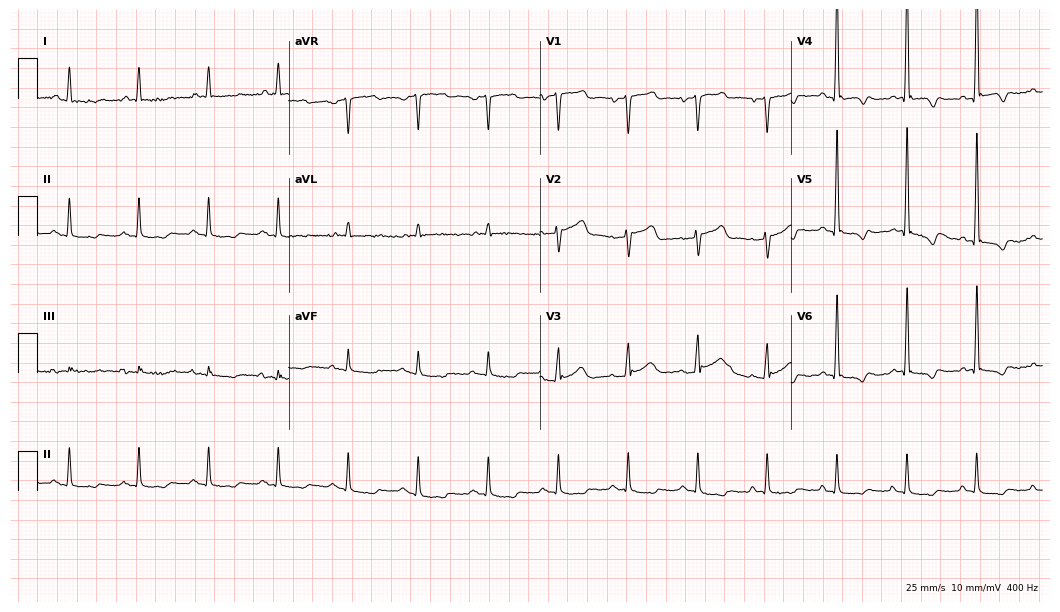
12-lead ECG from a male patient, 73 years old. Screened for six findings — first-degree AV block, right bundle branch block, left bundle branch block, sinus bradycardia, atrial fibrillation, sinus tachycardia — none is recorded.